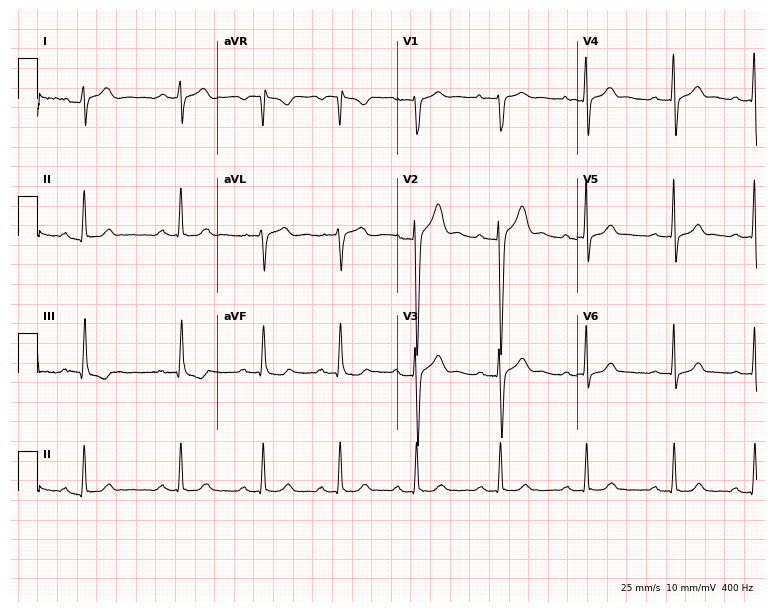
Standard 12-lead ECG recorded from a 23-year-old male patient. The tracing shows first-degree AV block.